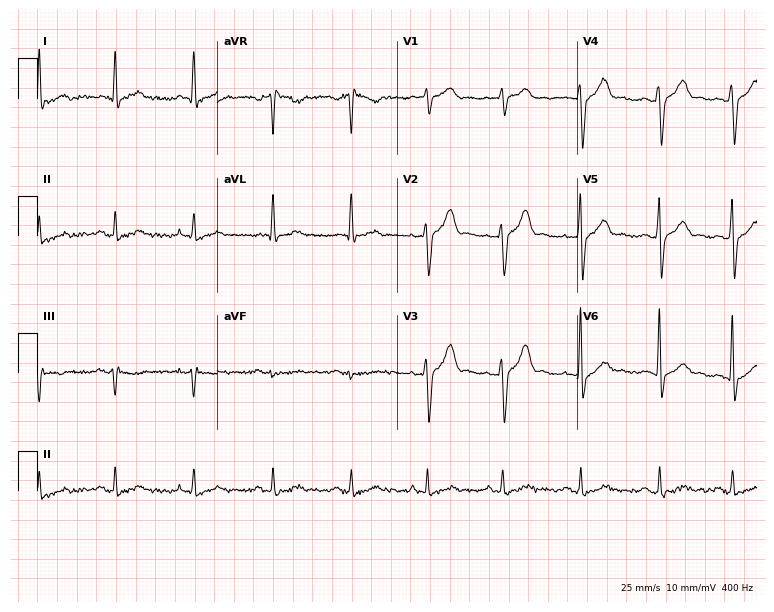
12-lead ECG from a male, 41 years old. Recorded interpretation: within normal limits.